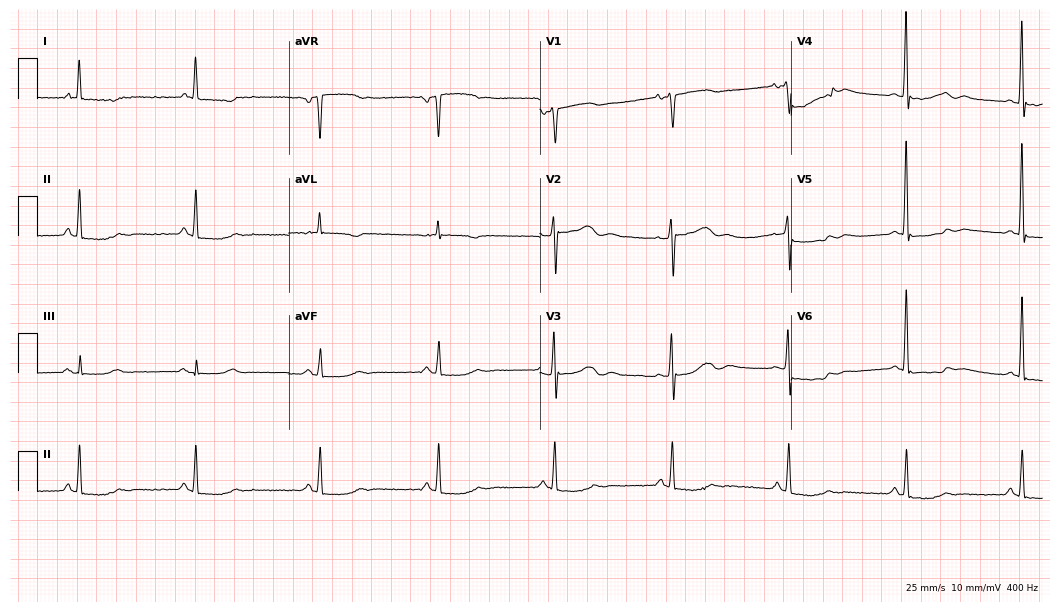
12-lead ECG from a female patient, 56 years old. Screened for six findings — first-degree AV block, right bundle branch block, left bundle branch block, sinus bradycardia, atrial fibrillation, sinus tachycardia — none is recorded. Only these six findings were labelled.